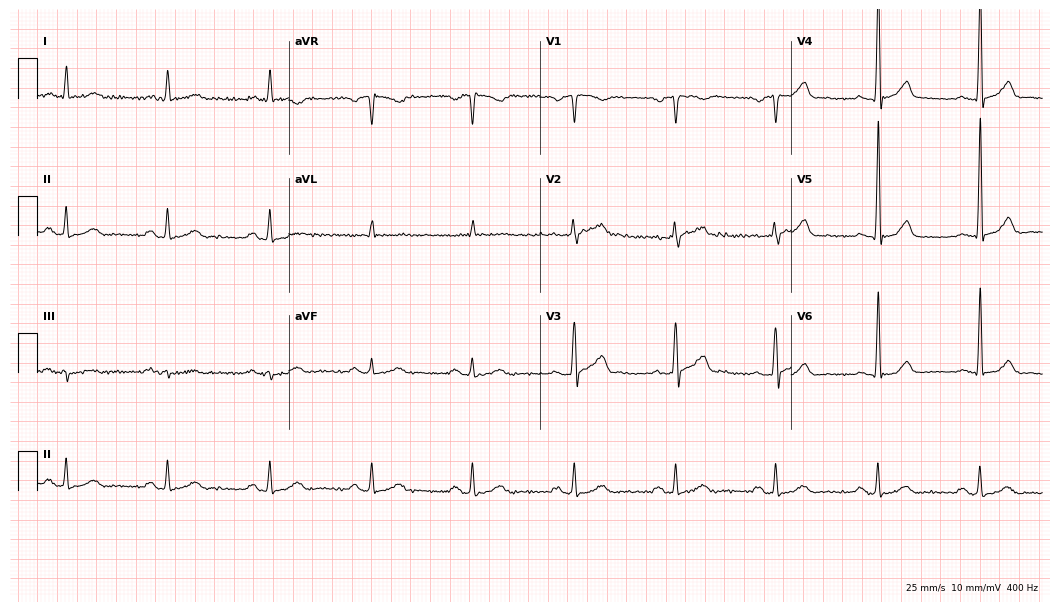
Standard 12-lead ECG recorded from a 67-year-old man (10.2-second recording at 400 Hz). Read as a normal ECG.